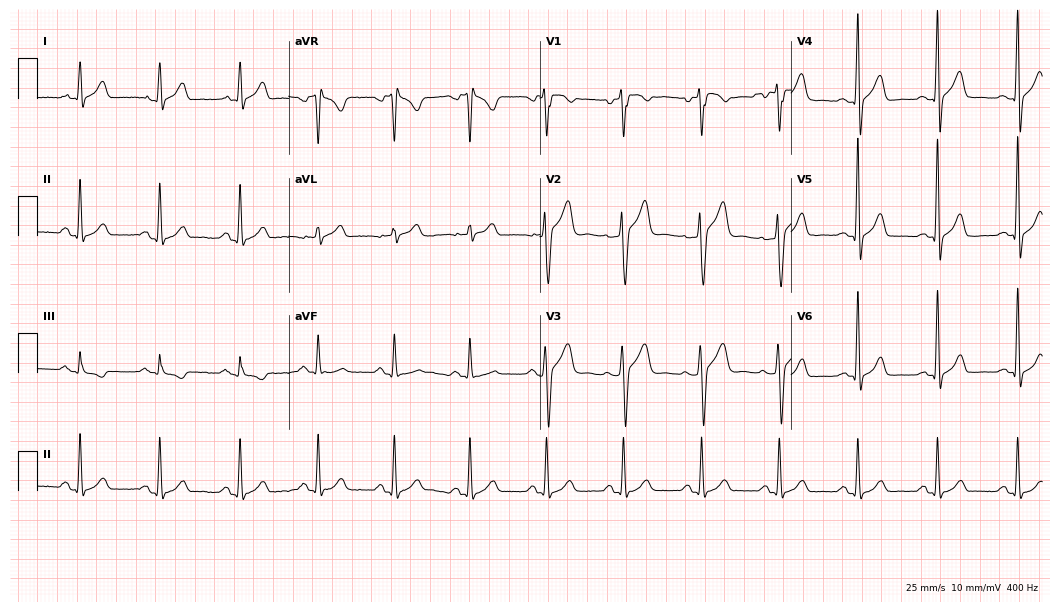
12-lead ECG from a male patient, 41 years old. Recorded interpretation: within normal limits.